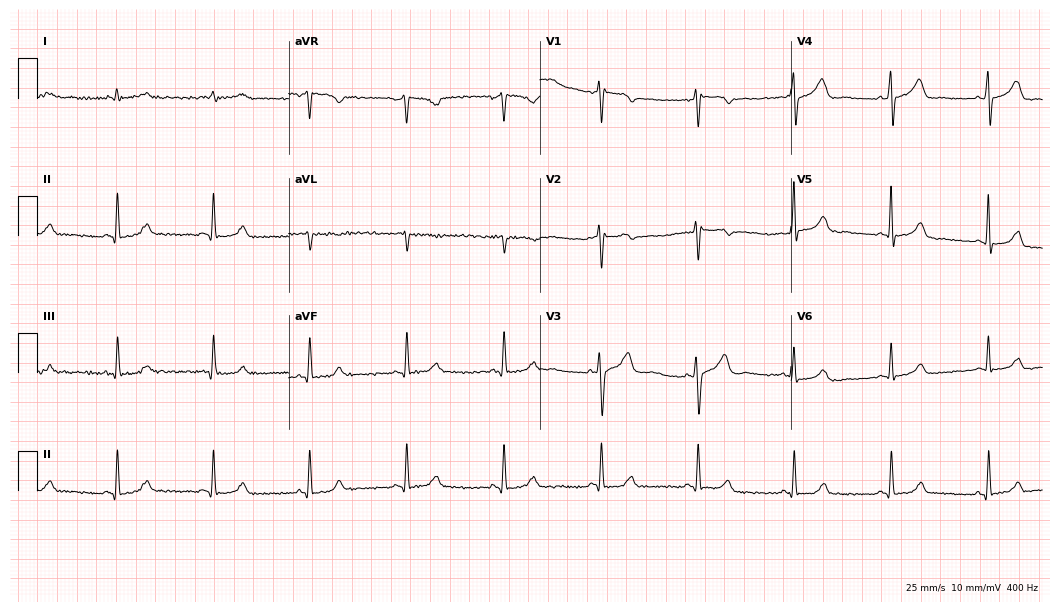
Standard 12-lead ECG recorded from a 43-year-old female. Read as a normal ECG.